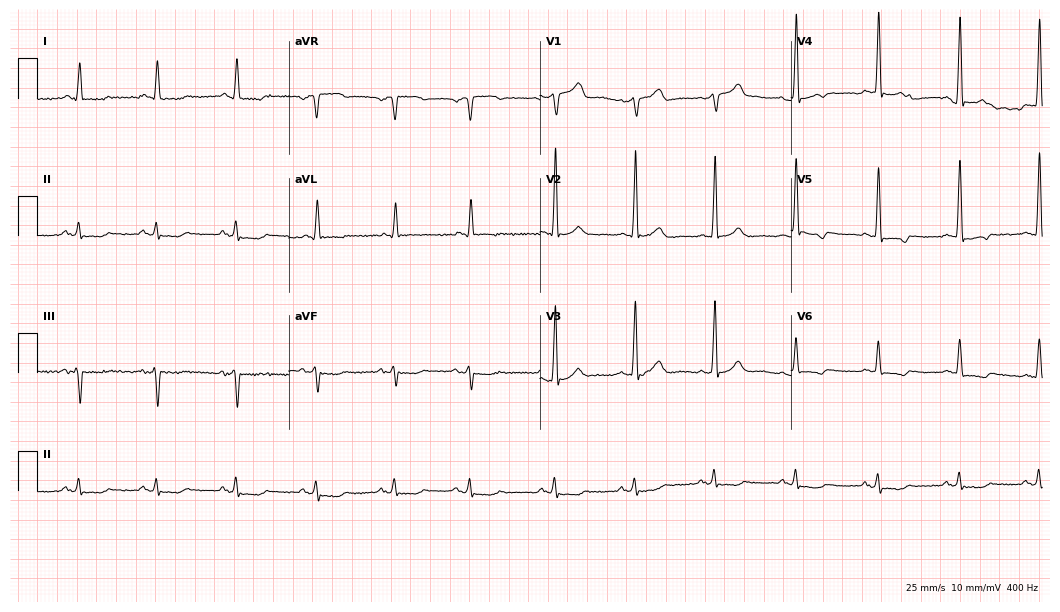
12-lead ECG from a man, 82 years old. No first-degree AV block, right bundle branch block, left bundle branch block, sinus bradycardia, atrial fibrillation or sinus tachycardia recorded for this tracing. Findings outside these six are not listed.